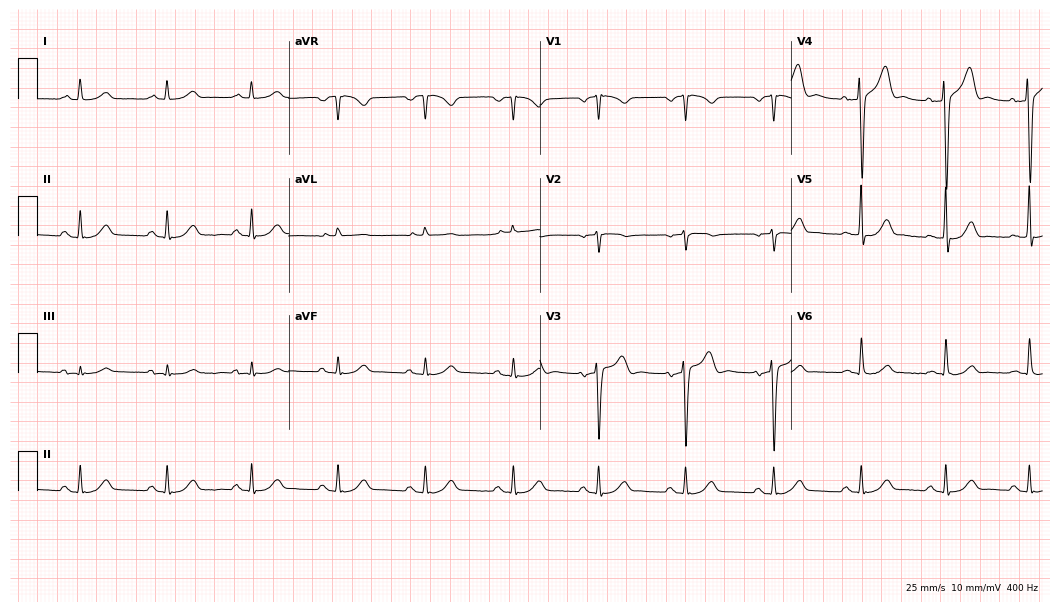
ECG (10.2-second recording at 400 Hz) — a man, 44 years old. Labelled as a normal ECG.